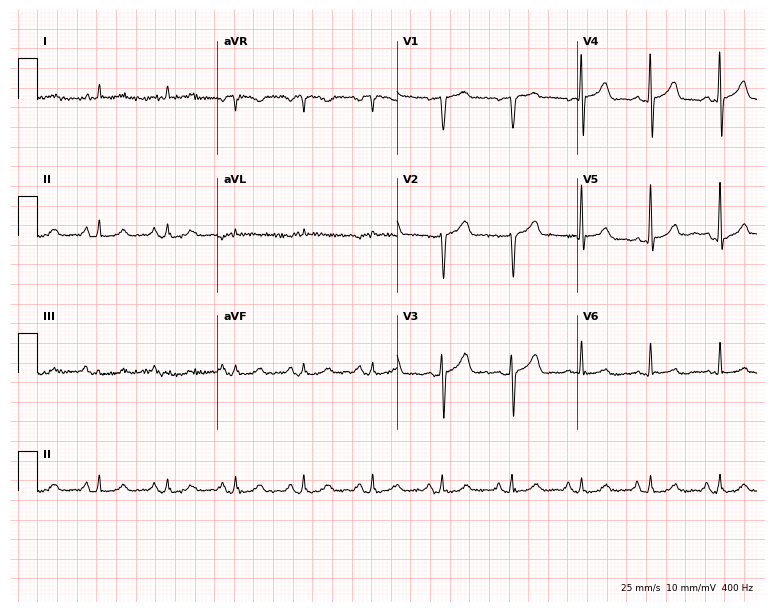
Standard 12-lead ECG recorded from a man, 83 years old (7.3-second recording at 400 Hz). Read as a normal ECG.